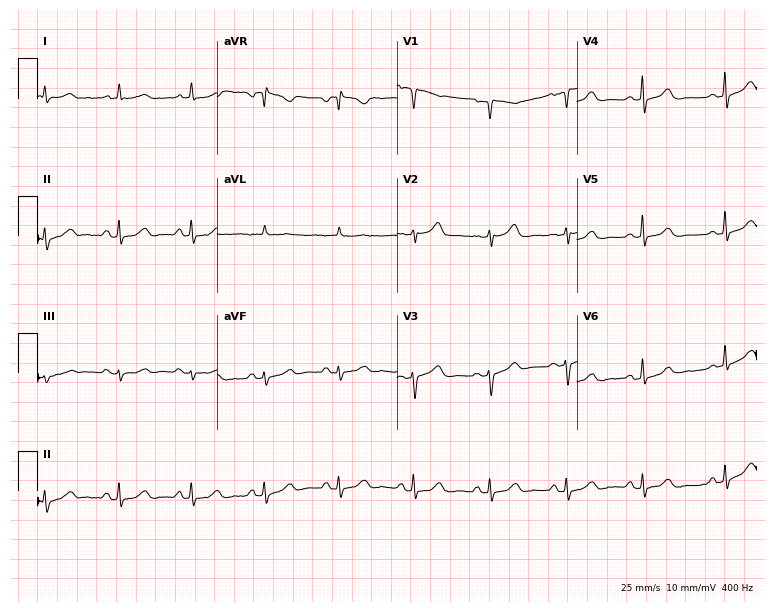
12-lead ECG (7.3-second recording at 400 Hz) from a female, 66 years old. Screened for six findings — first-degree AV block, right bundle branch block, left bundle branch block, sinus bradycardia, atrial fibrillation, sinus tachycardia — none is recorded.